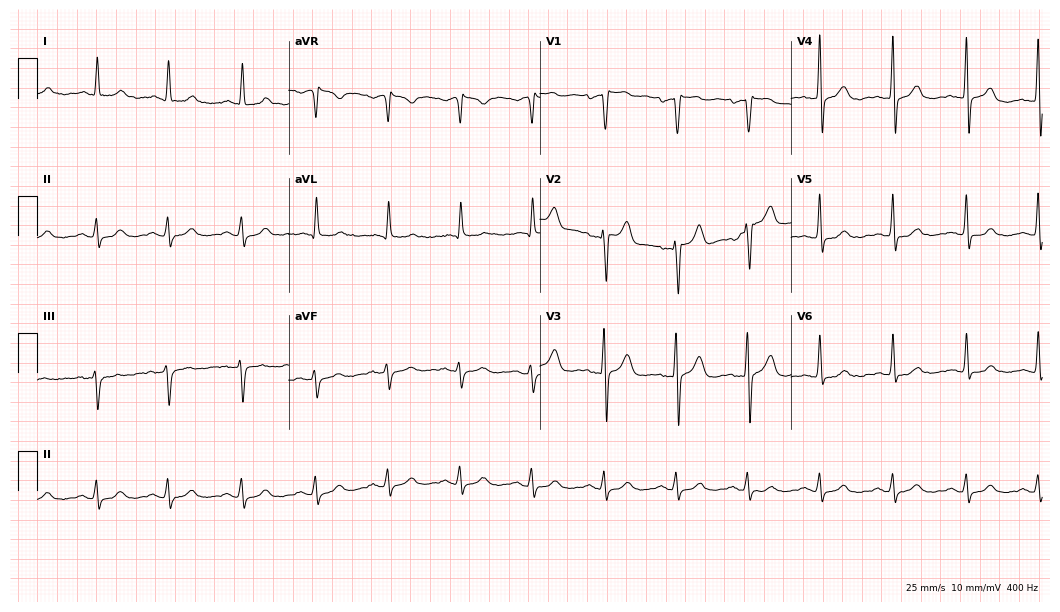
Standard 12-lead ECG recorded from a male patient, 43 years old (10.2-second recording at 400 Hz). None of these six findings is recorded: first-degree AV block, right bundle branch block, left bundle branch block, sinus bradycardia, atrial fibrillation, sinus tachycardia. Other findings, if any, are not listed.